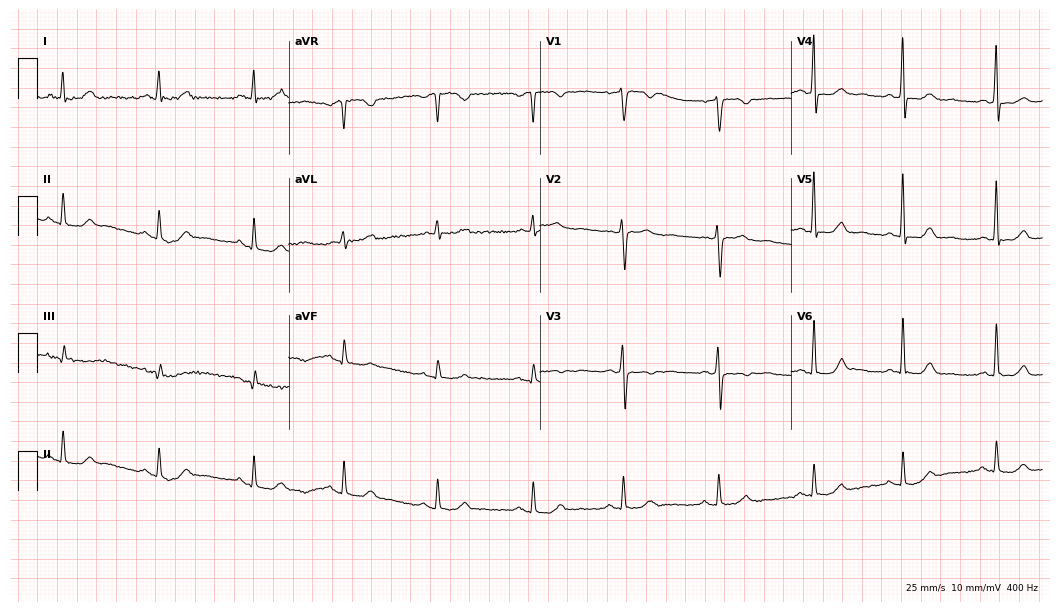
Standard 12-lead ECG recorded from a 58-year-old female patient (10.2-second recording at 400 Hz). None of these six findings is recorded: first-degree AV block, right bundle branch block, left bundle branch block, sinus bradycardia, atrial fibrillation, sinus tachycardia.